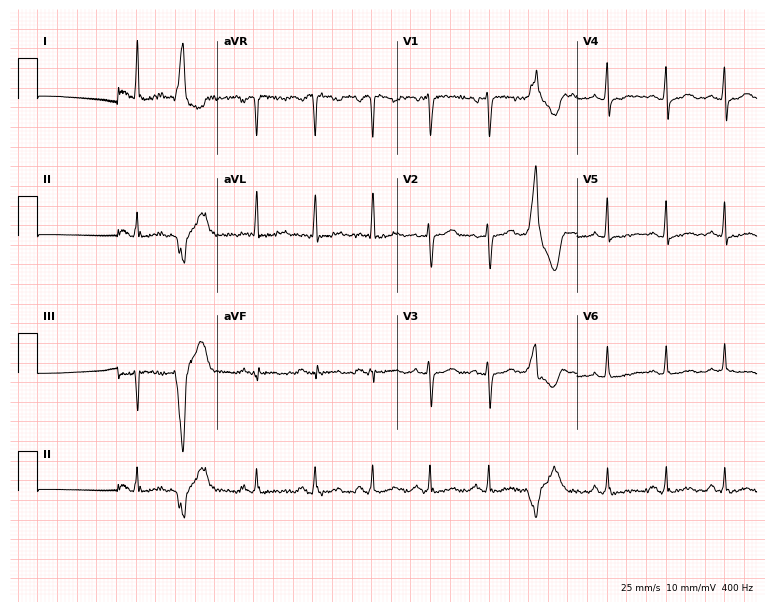
Standard 12-lead ECG recorded from a 54-year-old female patient (7.3-second recording at 400 Hz). None of these six findings is recorded: first-degree AV block, right bundle branch block, left bundle branch block, sinus bradycardia, atrial fibrillation, sinus tachycardia.